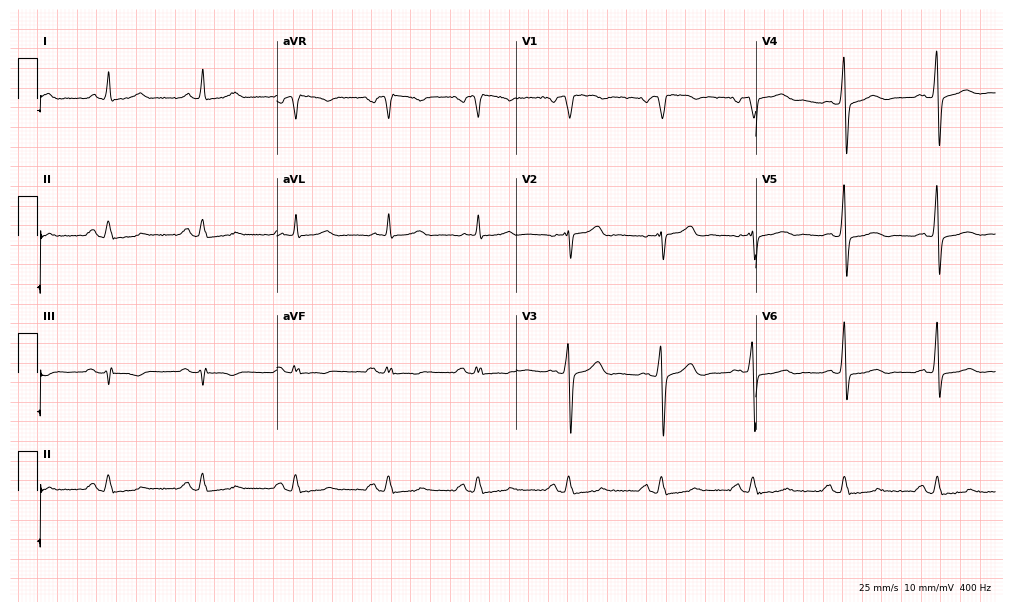
Standard 12-lead ECG recorded from a 51-year-old male (9.8-second recording at 400 Hz). None of these six findings is recorded: first-degree AV block, right bundle branch block, left bundle branch block, sinus bradycardia, atrial fibrillation, sinus tachycardia.